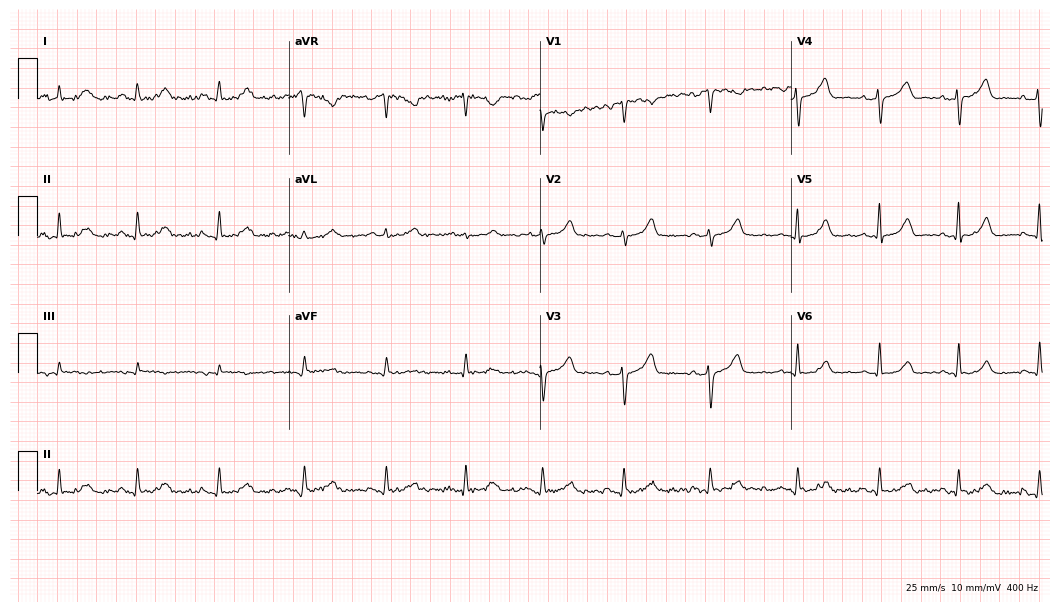
Standard 12-lead ECG recorded from a 43-year-old female. Read as a normal ECG.